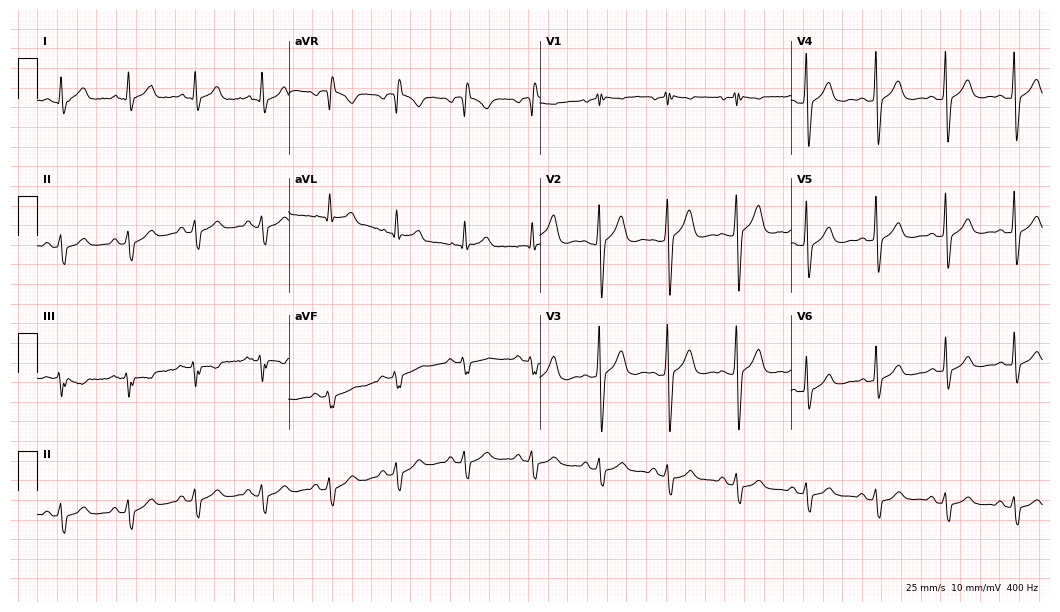
ECG — a 58-year-old male patient. Screened for six findings — first-degree AV block, right bundle branch block, left bundle branch block, sinus bradycardia, atrial fibrillation, sinus tachycardia — none is recorded. Only these six findings were labelled.